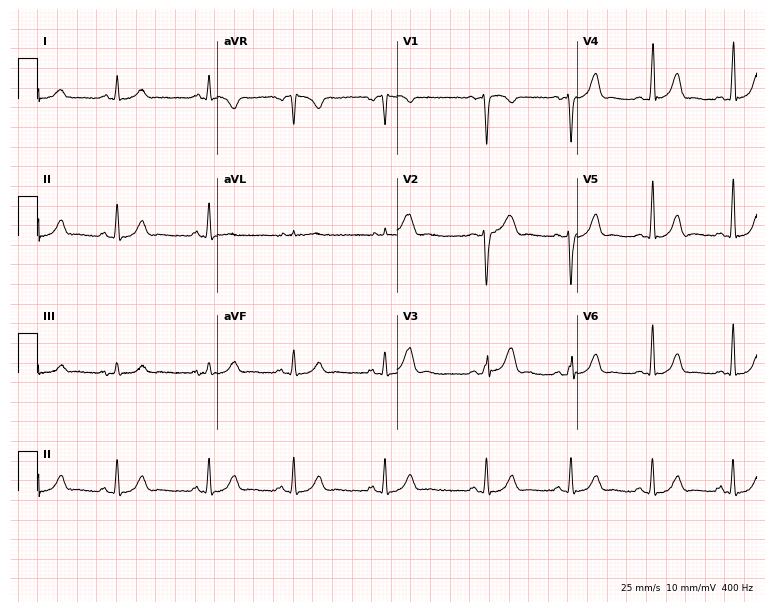
ECG (7.3-second recording at 400 Hz) — a 33-year-old female patient. Screened for six findings — first-degree AV block, right bundle branch block (RBBB), left bundle branch block (LBBB), sinus bradycardia, atrial fibrillation (AF), sinus tachycardia — none is recorded.